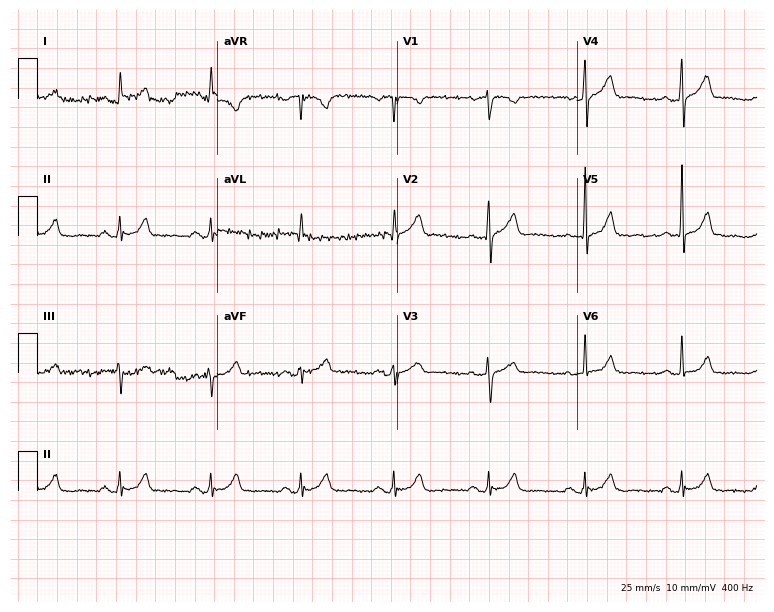
12-lead ECG from a male, 54 years old. Recorded interpretation: within normal limits.